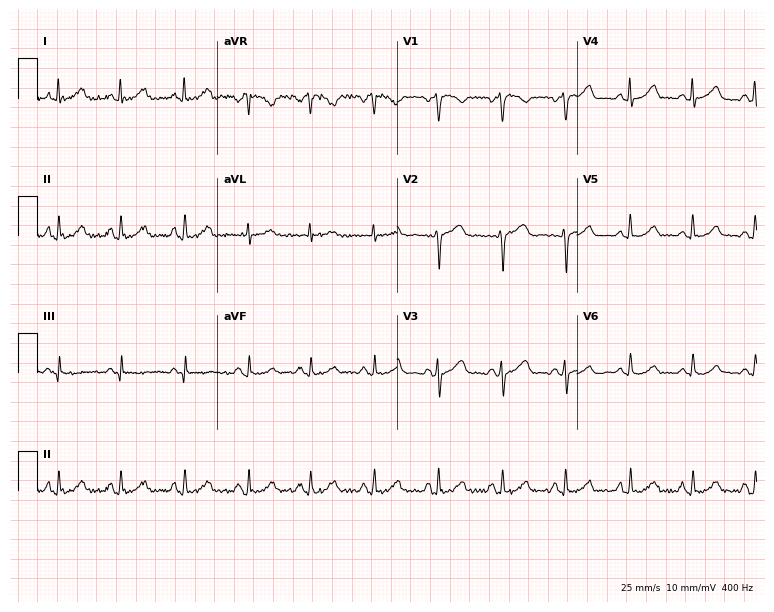
Electrocardiogram (7.3-second recording at 400 Hz), a female, 47 years old. Overall reading on record: normal ECG.